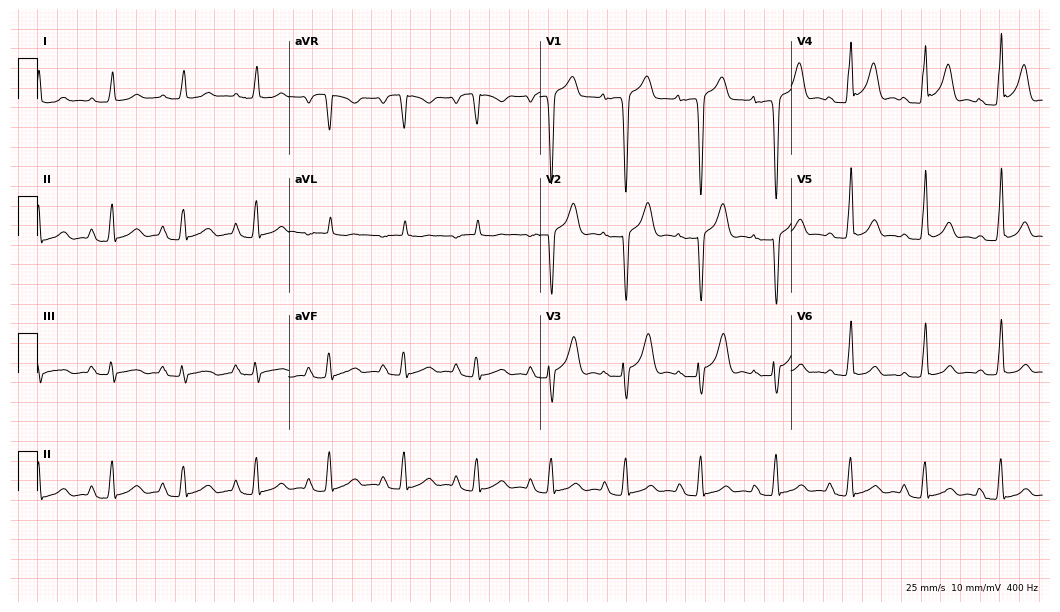
12-lead ECG (10.2-second recording at 400 Hz) from a 59-year-old woman. Labelled as a normal ECG.